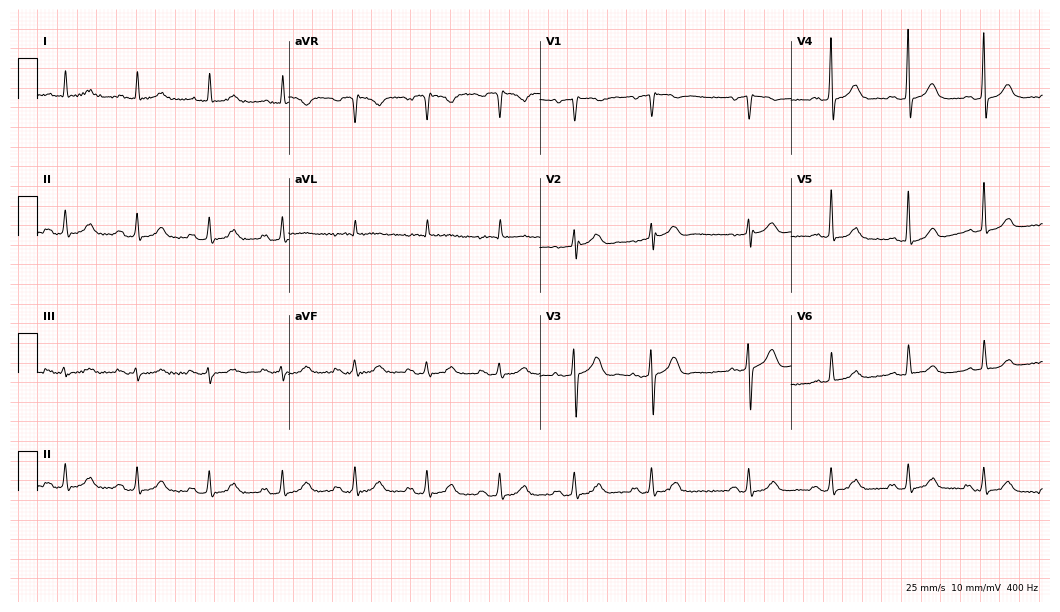
Electrocardiogram, a 70-year-old woman. Overall reading on record: normal ECG.